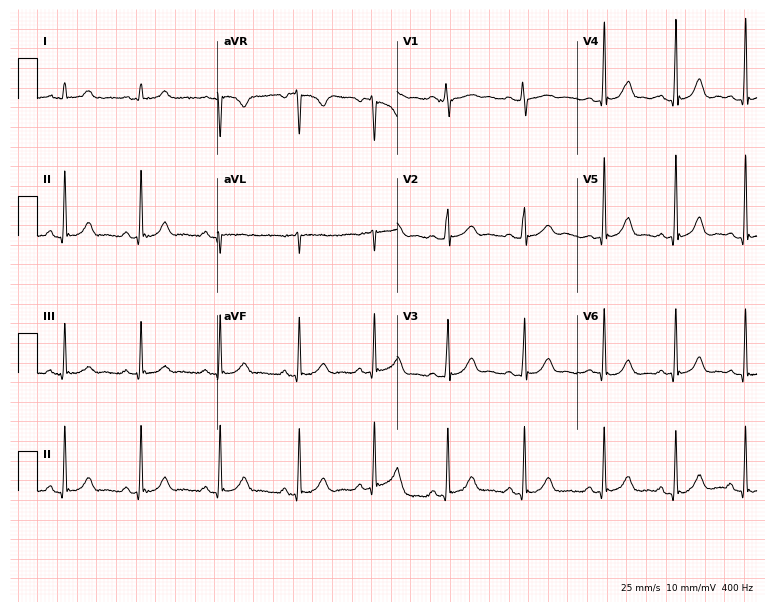
Standard 12-lead ECG recorded from a female, 20 years old. Read as a normal ECG.